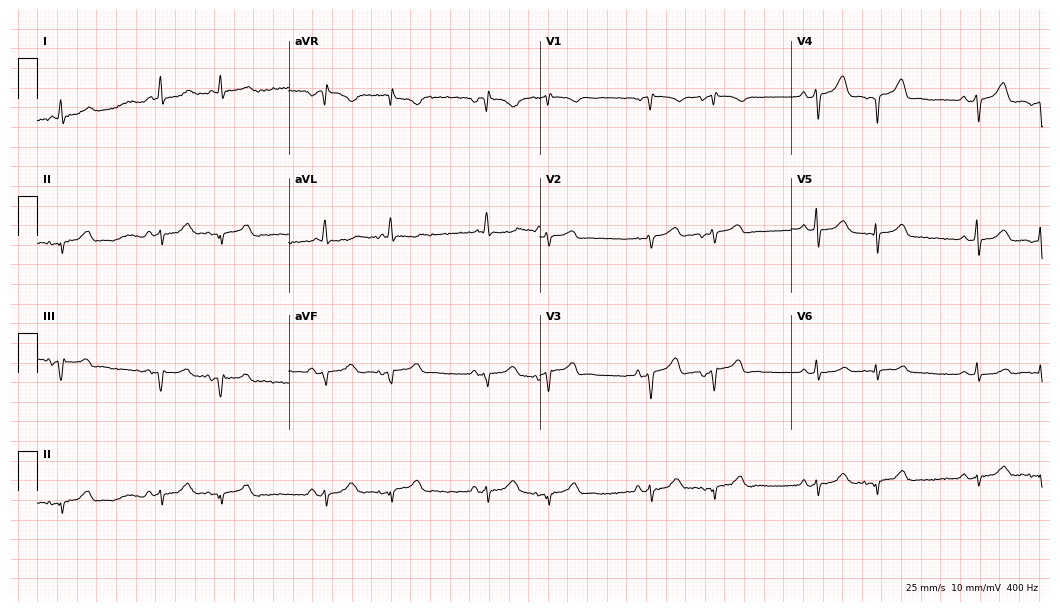
ECG (10.2-second recording at 400 Hz) — a female patient, 78 years old. Screened for six findings — first-degree AV block, right bundle branch block, left bundle branch block, sinus bradycardia, atrial fibrillation, sinus tachycardia — none is recorded. Other findings, if any, are not listed.